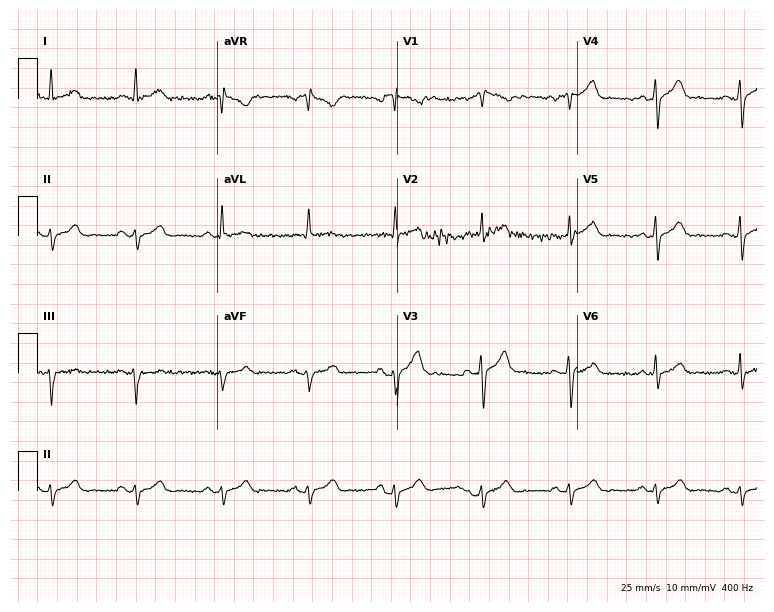
Standard 12-lead ECG recorded from a 63-year-old male patient. None of these six findings is recorded: first-degree AV block, right bundle branch block (RBBB), left bundle branch block (LBBB), sinus bradycardia, atrial fibrillation (AF), sinus tachycardia. Other findings, if any, are not listed.